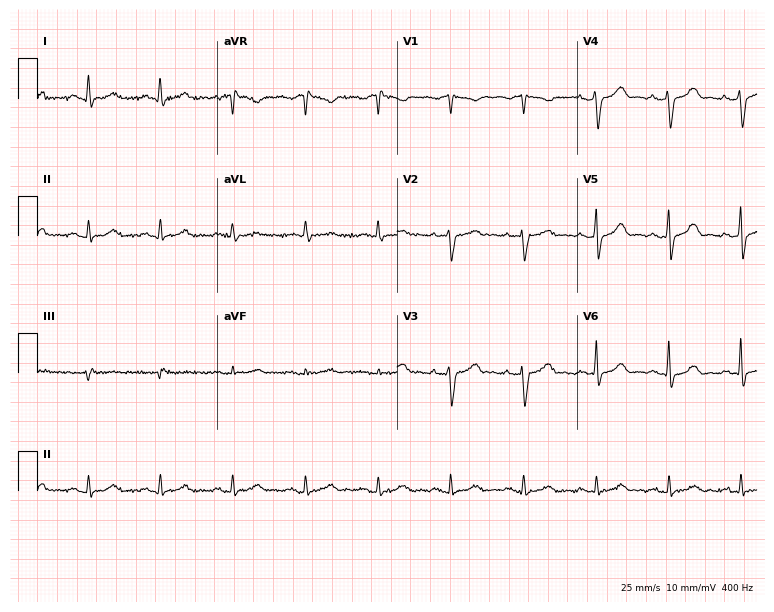
ECG (7.3-second recording at 400 Hz) — a 65-year-old male patient. Screened for six findings — first-degree AV block, right bundle branch block, left bundle branch block, sinus bradycardia, atrial fibrillation, sinus tachycardia — none is recorded.